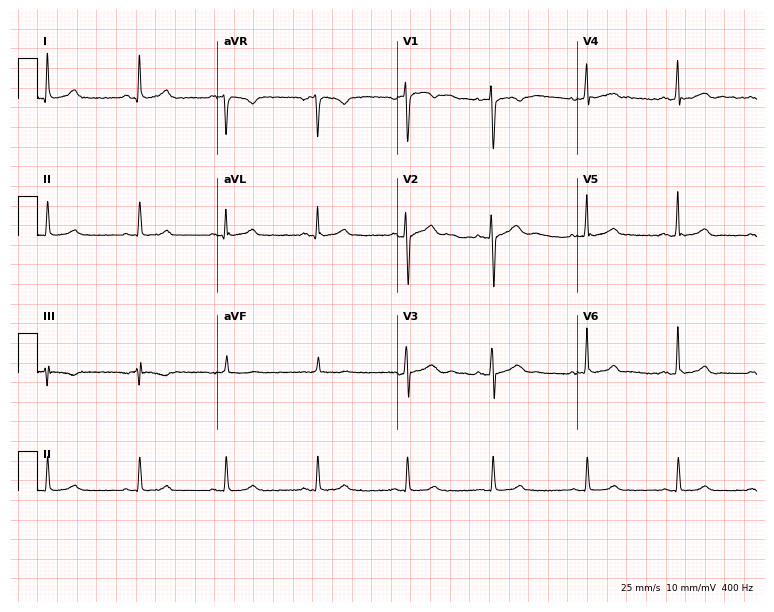
Electrocardiogram (7.3-second recording at 400 Hz), a 29-year-old male patient. Overall reading on record: normal ECG.